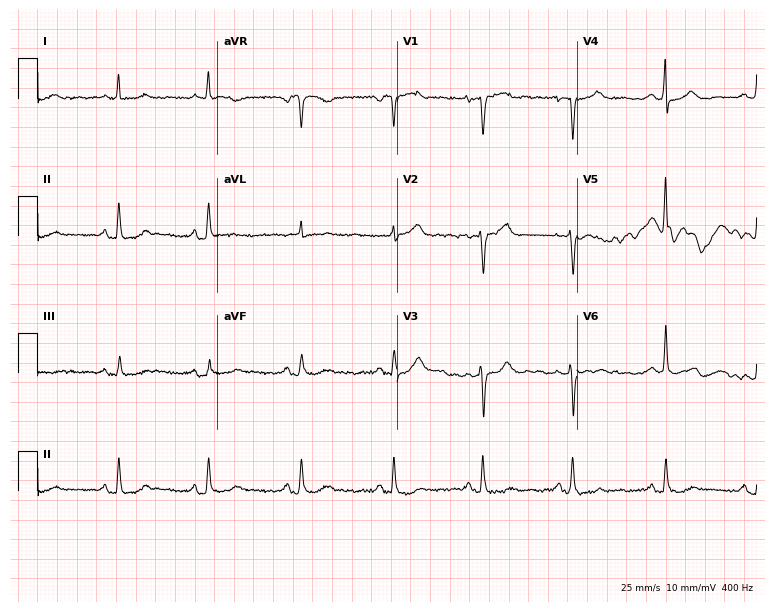
Electrocardiogram (7.3-second recording at 400 Hz), a female patient, 70 years old. Of the six screened findings (first-degree AV block, right bundle branch block, left bundle branch block, sinus bradycardia, atrial fibrillation, sinus tachycardia), none is recorded. Only these six findings were labelled.